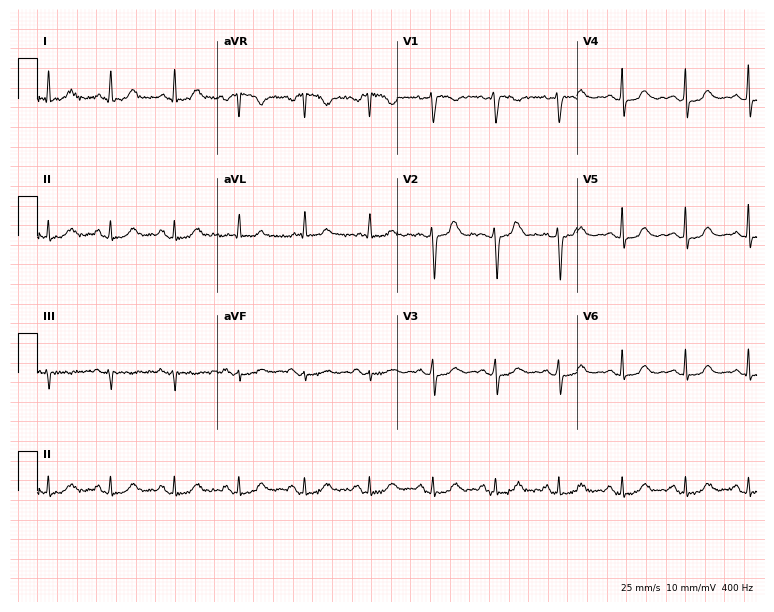
12-lead ECG from a 42-year-old female patient. Screened for six findings — first-degree AV block, right bundle branch block, left bundle branch block, sinus bradycardia, atrial fibrillation, sinus tachycardia — none is recorded. Findings outside these six are not listed.